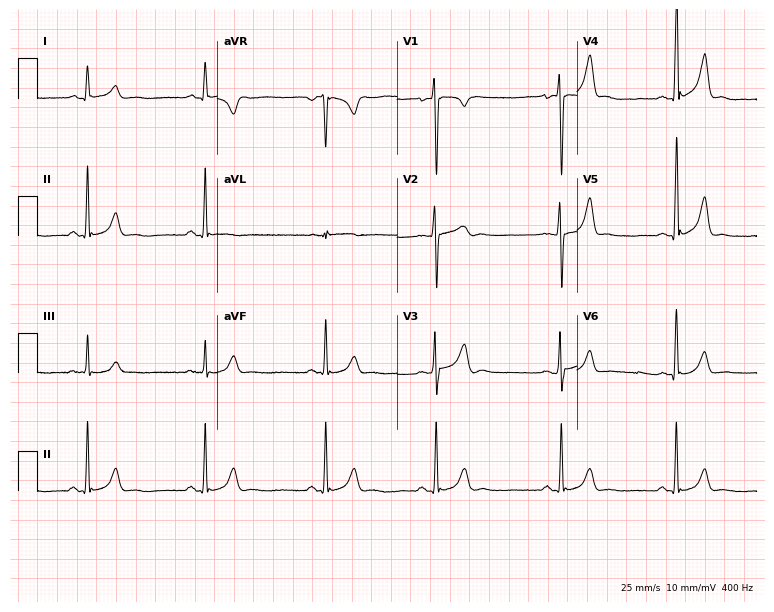
12-lead ECG (7.3-second recording at 400 Hz) from a 19-year-old male patient. Labelled as a normal ECG.